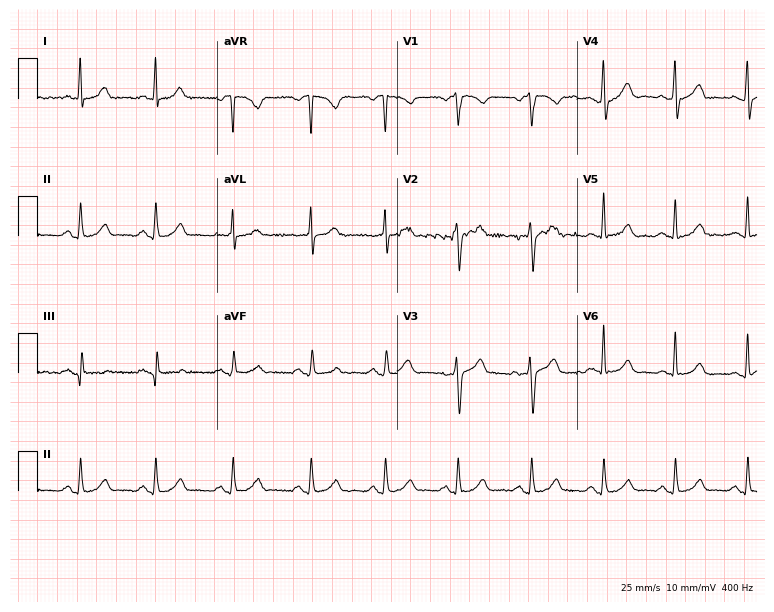
Resting 12-lead electrocardiogram (7.3-second recording at 400 Hz). Patient: a male, 39 years old. None of these six findings is recorded: first-degree AV block, right bundle branch block, left bundle branch block, sinus bradycardia, atrial fibrillation, sinus tachycardia. Other findings, if any, are not listed.